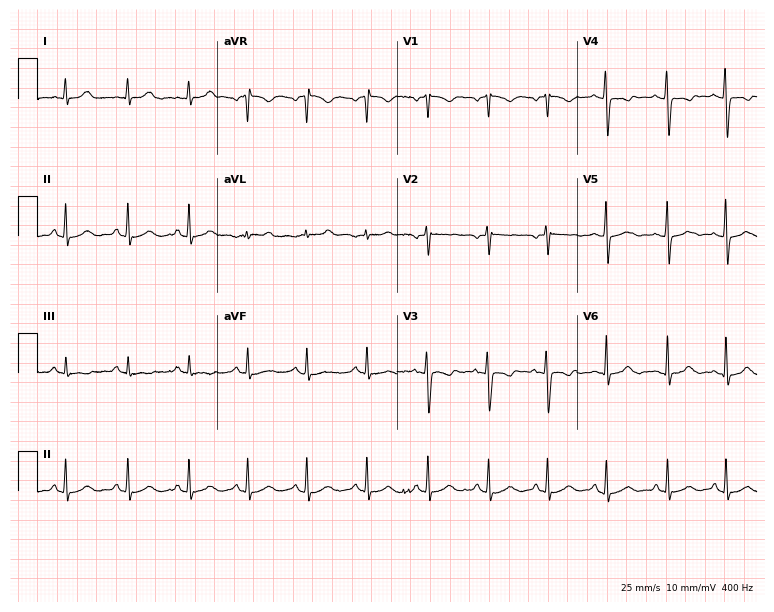
Electrocardiogram (7.3-second recording at 400 Hz), a 20-year-old female patient. Overall reading on record: normal ECG.